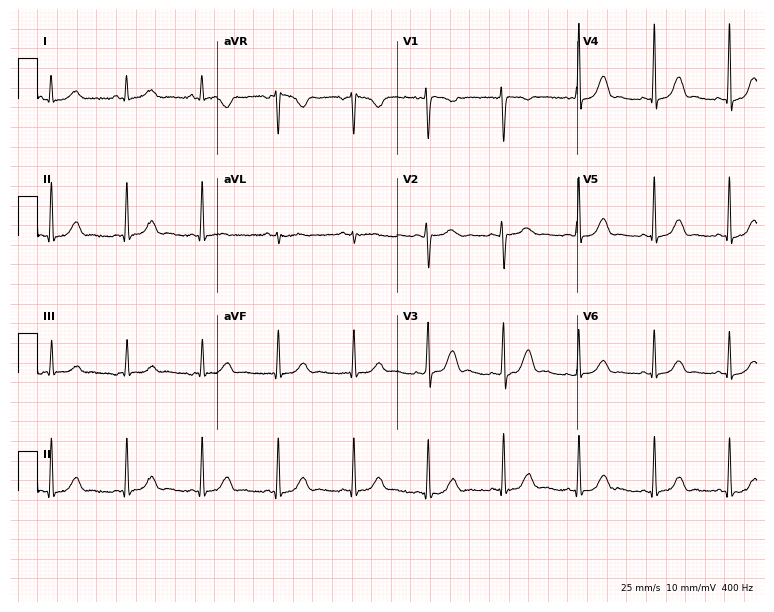
ECG (7.3-second recording at 400 Hz) — a 45-year-old female patient. Labelled as a normal ECG.